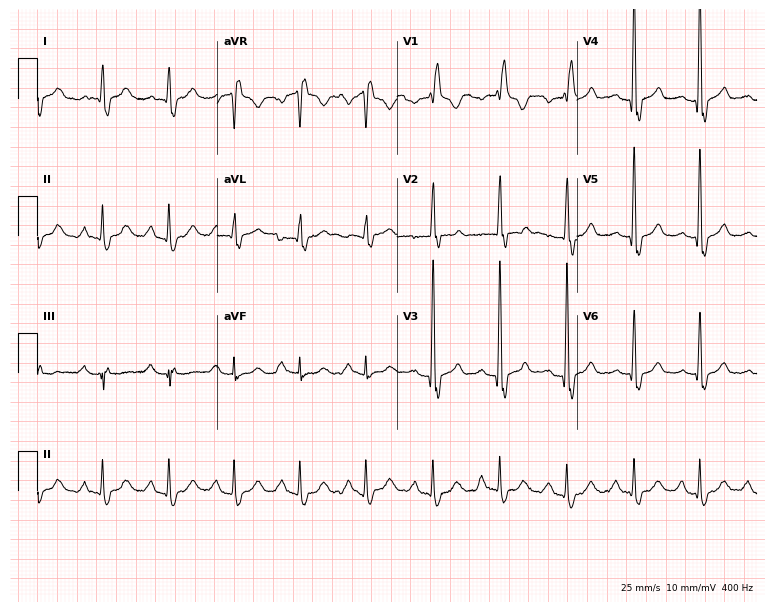
Electrocardiogram (7.3-second recording at 400 Hz), a male patient, 55 years old. Interpretation includes first-degree AV block, right bundle branch block.